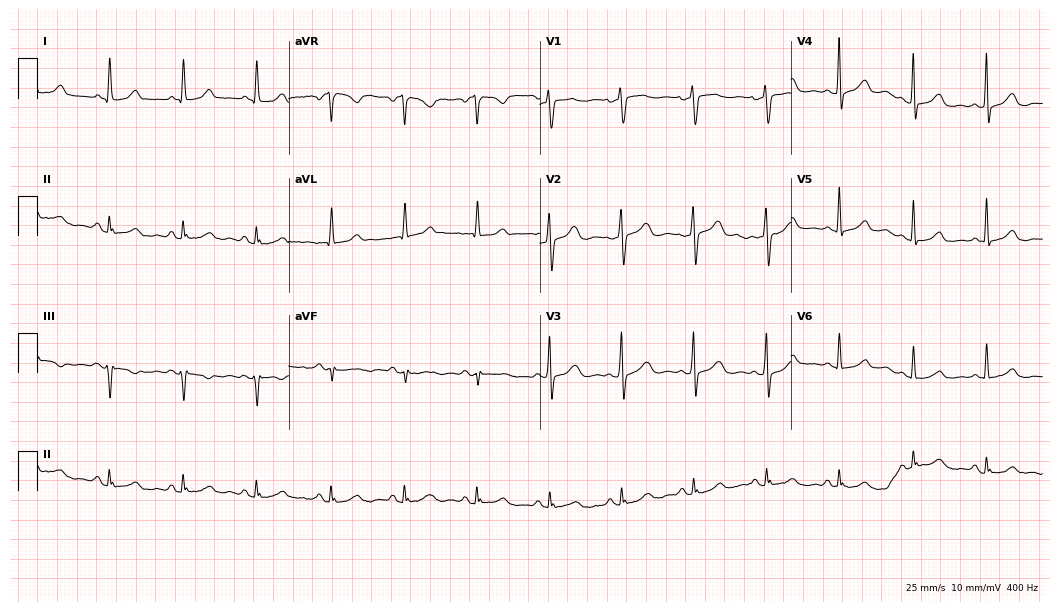
Resting 12-lead electrocardiogram. Patient: a woman, 46 years old. Read as a normal ECG.